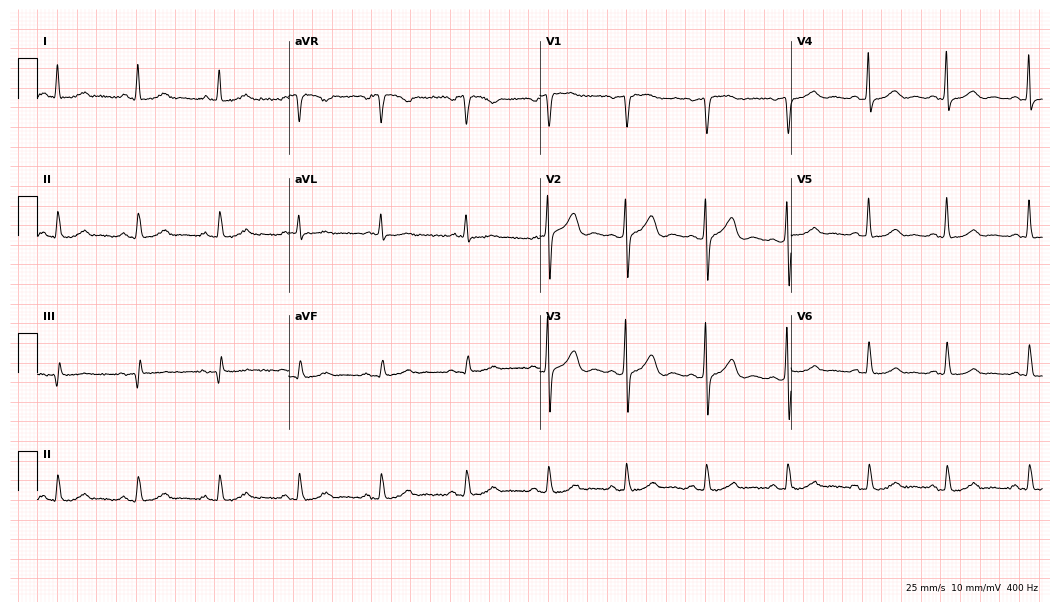
12-lead ECG from a female, 39 years old. Recorded interpretation: within normal limits.